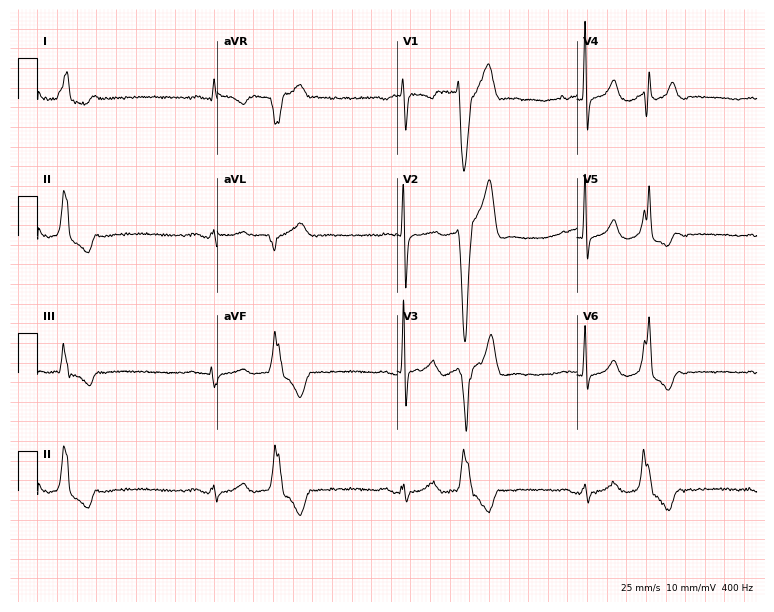
12-lead ECG (7.3-second recording at 400 Hz) from a man, 51 years old. Screened for six findings — first-degree AV block, right bundle branch block, left bundle branch block, sinus bradycardia, atrial fibrillation, sinus tachycardia — none is recorded.